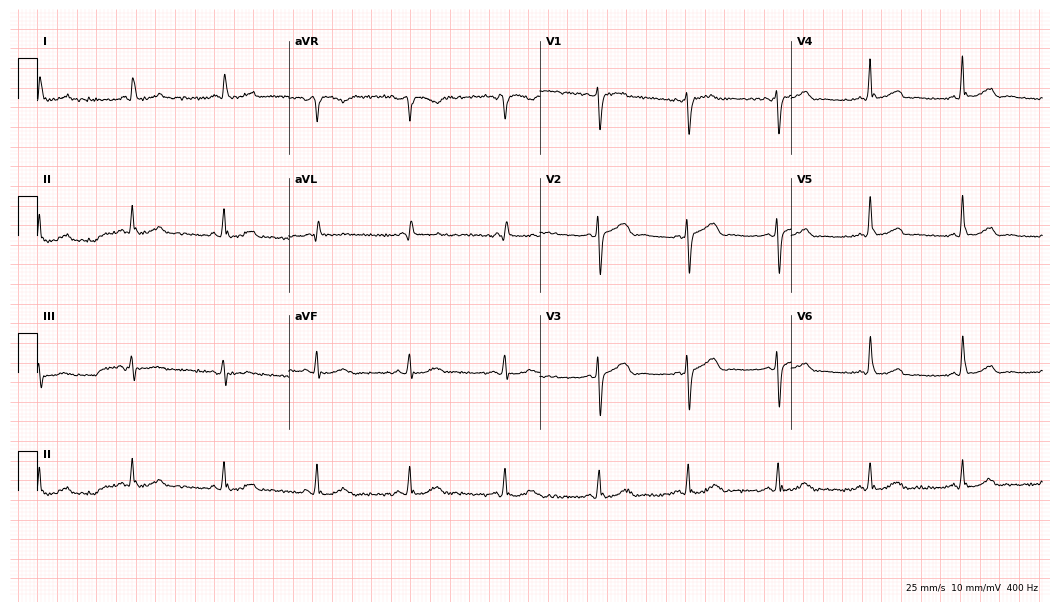
Resting 12-lead electrocardiogram. Patient: a 61-year-old male. None of these six findings is recorded: first-degree AV block, right bundle branch block, left bundle branch block, sinus bradycardia, atrial fibrillation, sinus tachycardia.